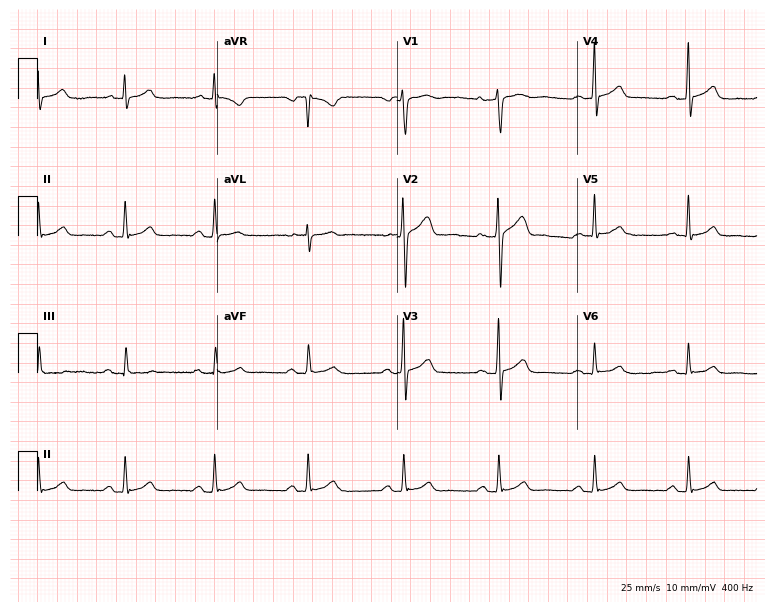
Standard 12-lead ECG recorded from a male patient, 46 years old (7.3-second recording at 400 Hz). Read as a normal ECG.